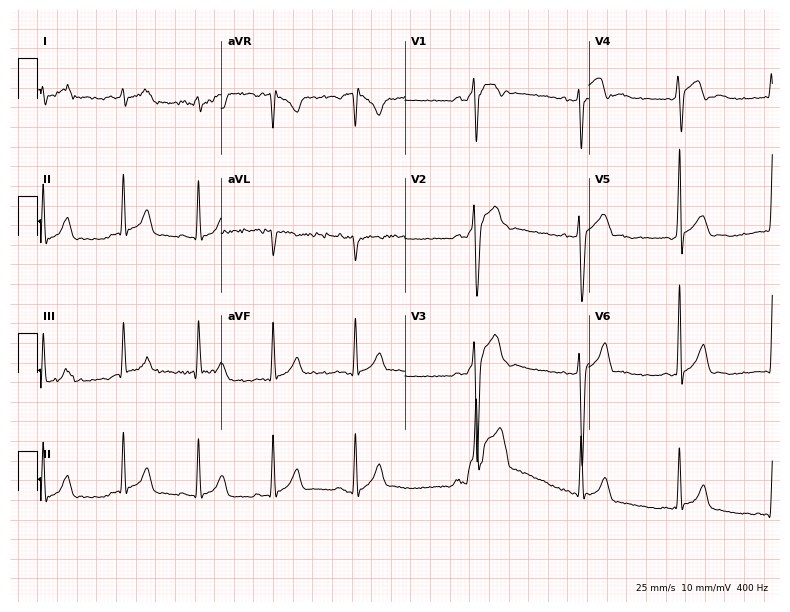
12-lead ECG from a man, 19 years old (7.5-second recording at 400 Hz). No first-degree AV block, right bundle branch block, left bundle branch block, sinus bradycardia, atrial fibrillation or sinus tachycardia recorded for this tracing. Other findings, if any, are not listed.